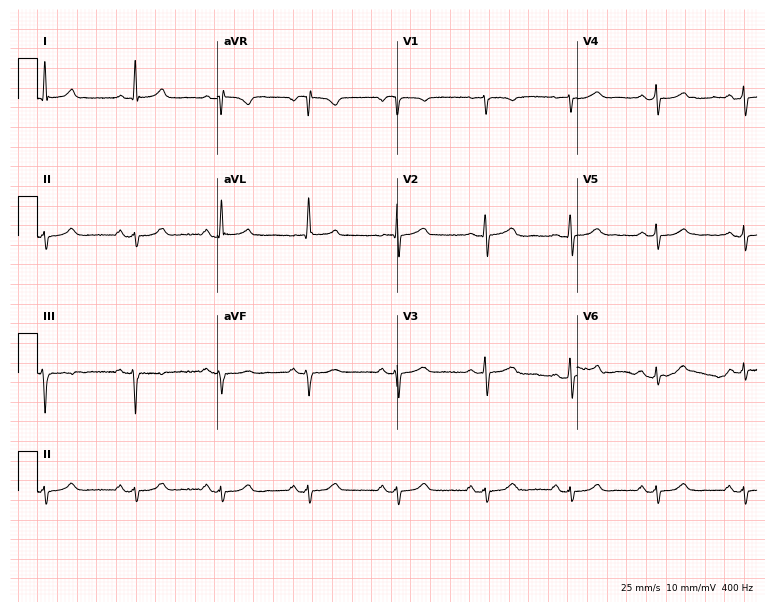
Resting 12-lead electrocardiogram (7.3-second recording at 400 Hz). Patient: a 69-year-old female. None of these six findings is recorded: first-degree AV block, right bundle branch block (RBBB), left bundle branch block (LBBB), sinus bradycardia, atrial fibrillation (AF), sinus tachycardia.